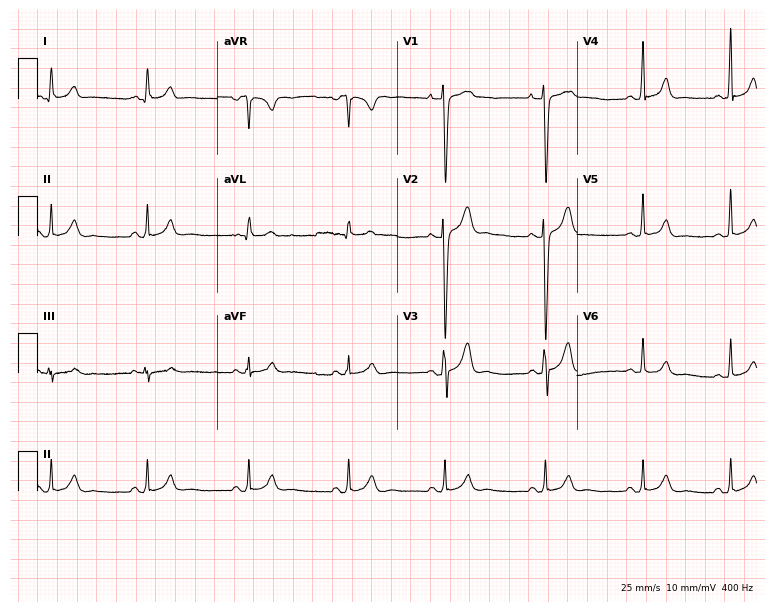
12-lead ECG from a 17-year-old male. Recorded interpretation: within normal limits.